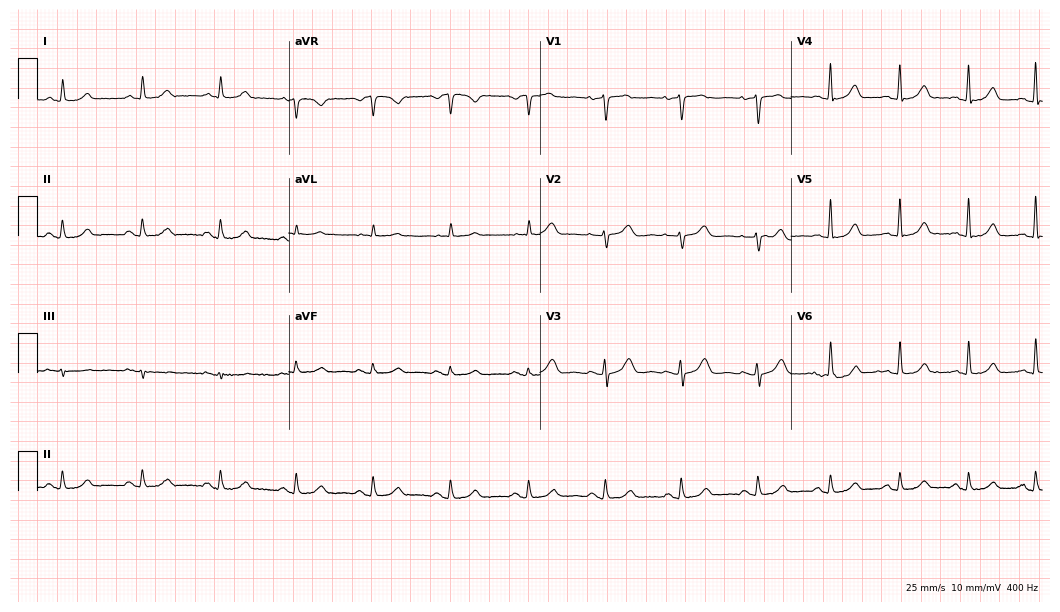
Resting 12-lead electrocardiogram. Patient: an 83-year-old female. Read as a normal ECG.